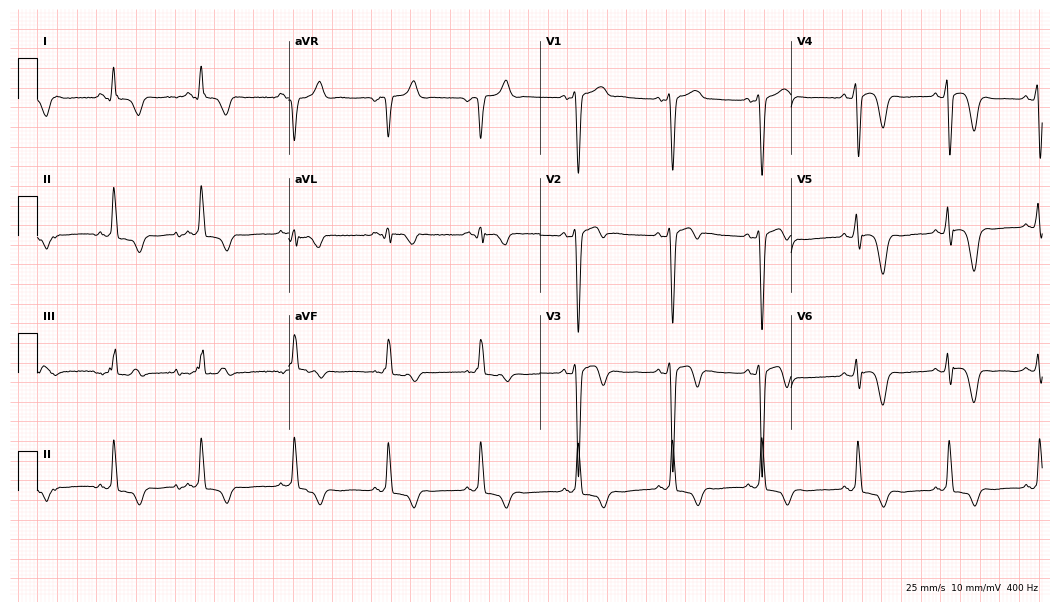
ECG — a man, 23 years old. Labelled as a normal ECG.